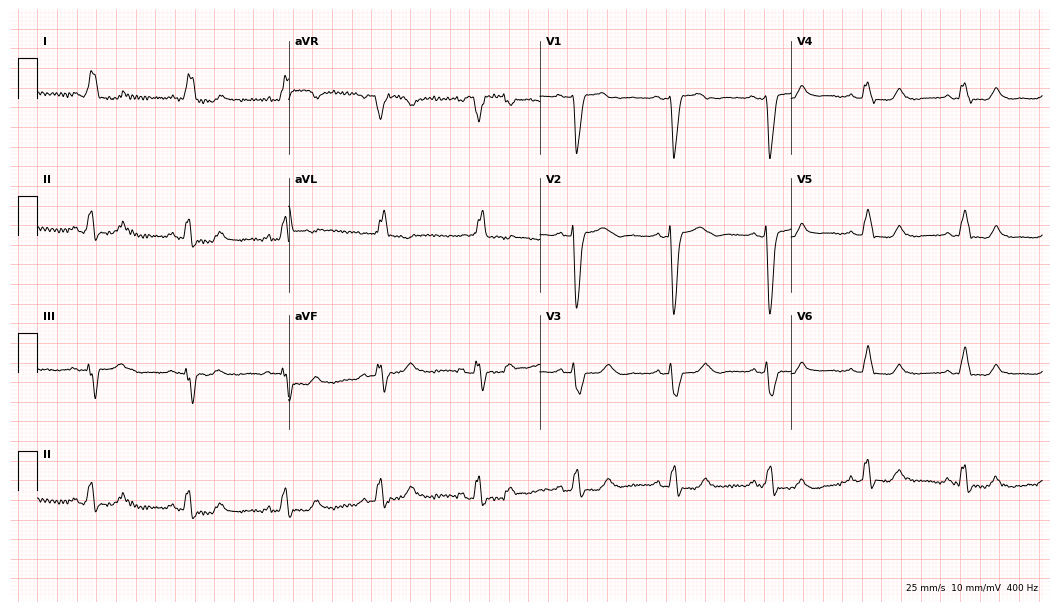
Electrocardiogram, a 73-year-old woman. Interpretation includes left bundle branch block.